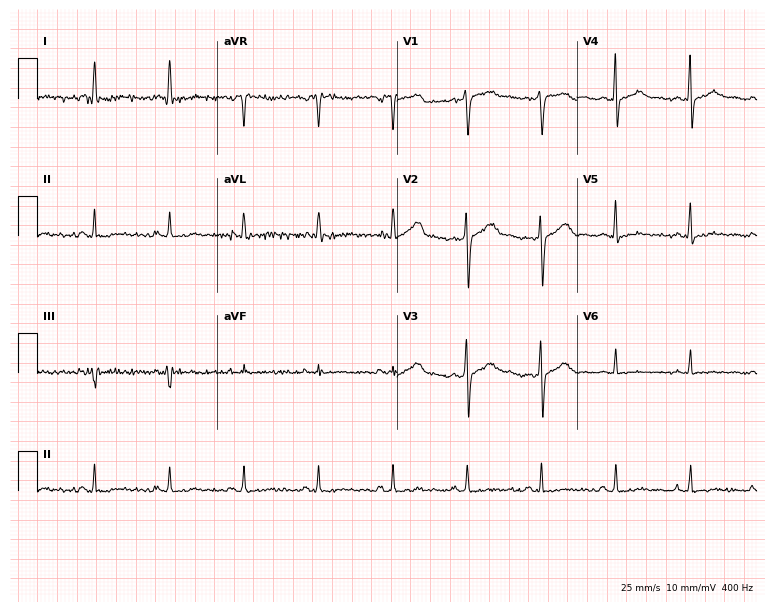
Standard 12-lead ECG recorded from a male patient, 55 years old. None of these six findings is recorded: first-degree AV block, right bundle branch block, left bundle branch block, sinus bradycardia, atrial fibrillation, sinus tachycardia. Only these six findings were labelled.